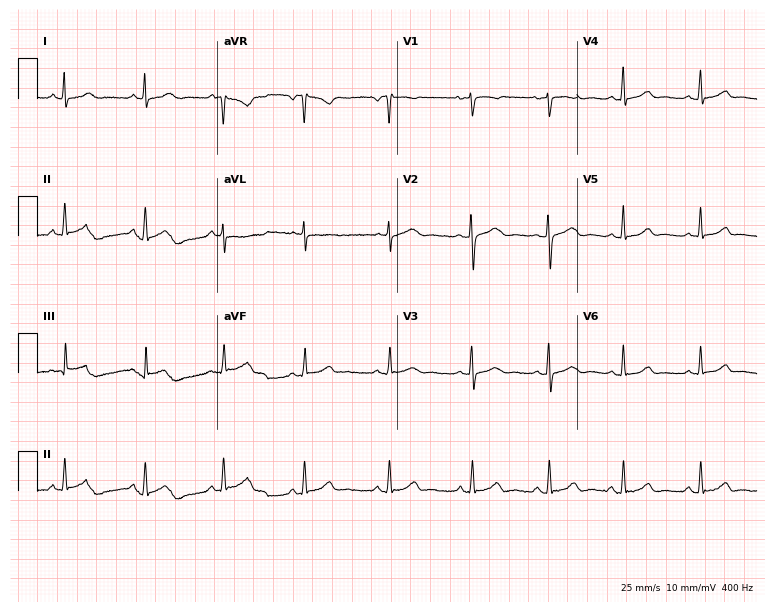
12-lead ECG from a male patient, 35 years old. No first-degree AV block, right bundle branch block, left bundle branch block, sinus bradycardia, atrial fibrillation or sinus tachycardia recorded for this tracing.